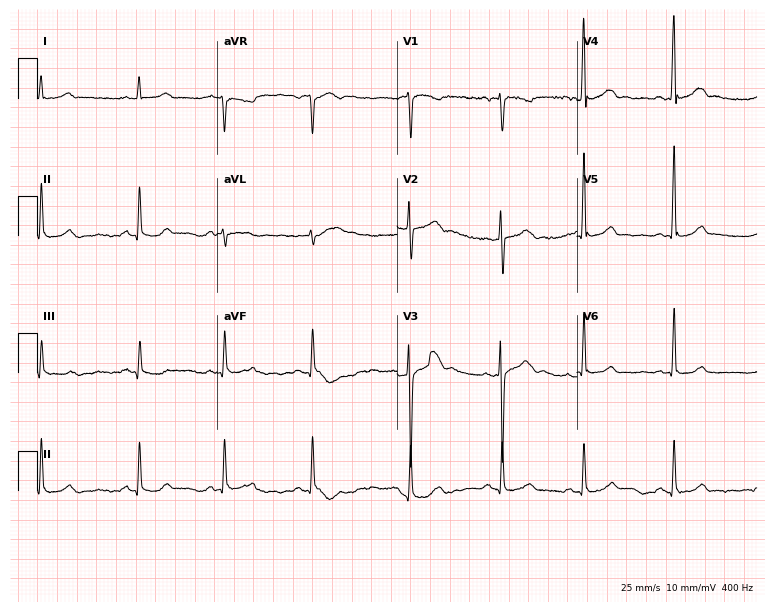
Resting 12-lead electrocardiogram. Patient: a 17-year-old male. None of these six findings is recorded: first-degree AV block, right bundle branch block (RBBB), left bundle branch block (LBBB), sinus bradycardia, atrial fibrillation (AF), sinus tachycardia.